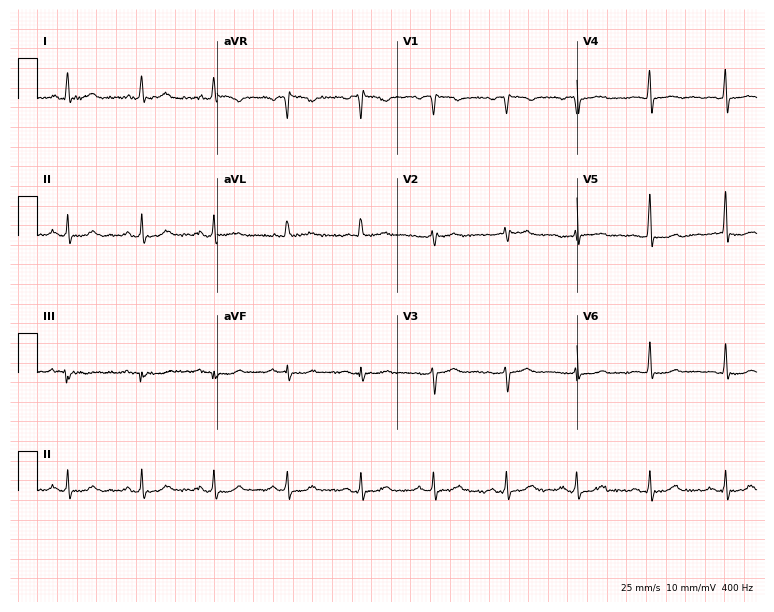
Resting 12-lead electrocardiogram (7.3-second recording at 400 Hz). Patient: a 53-year-old female. None of these six findings is recorded: first-degree AV block, right bundle branch block (RBBB), left bundle branch block (LBBB), sinus bradycardia, atrial fibrillation (AF), sinus tachycardia. Findings outside these six are not listed.